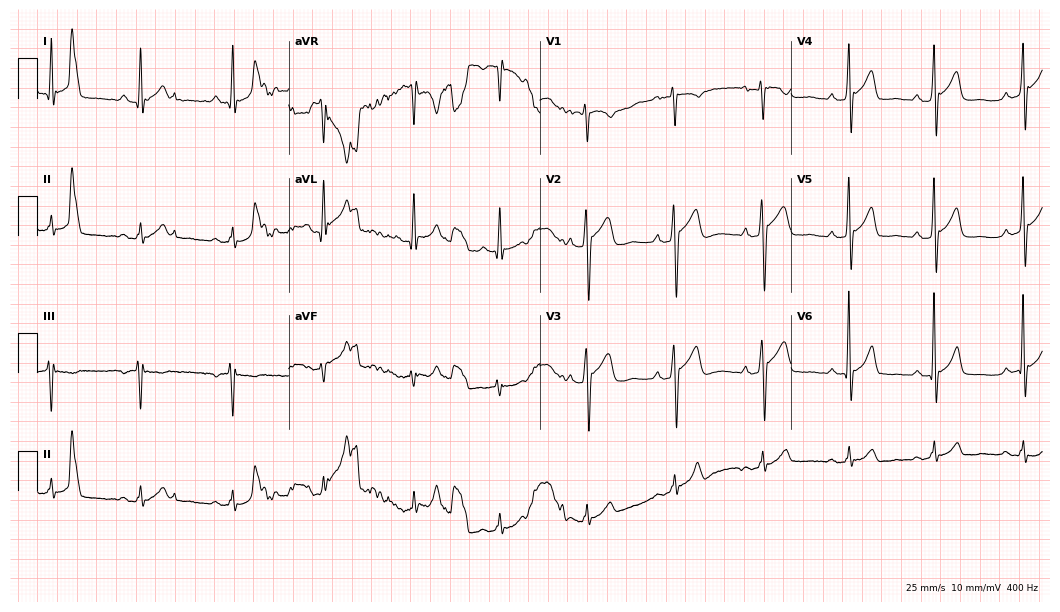
Standard 12-lead ECG recorded from a male patient, 57 years old. Read as a normal ECG.